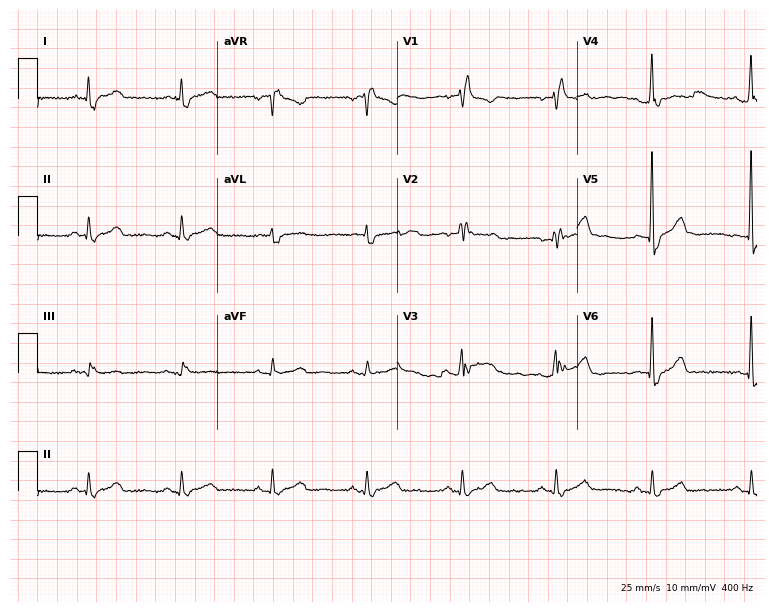
ECG — a man, 75 years old. Findings include right bundle branch block (RBBB).